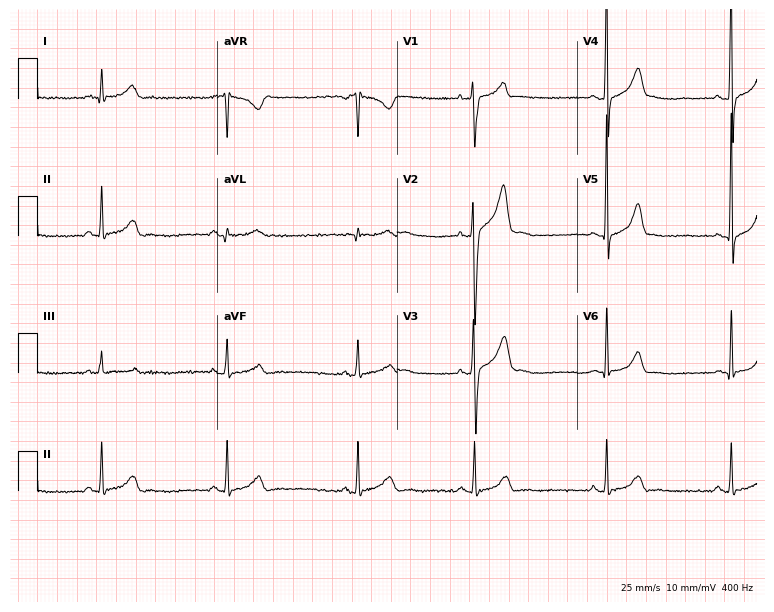
Electrocardiogram (7.3-second recording at 400 Hz), a man, 27 years old. Interpretation includes sinus bradycardia (a sinus rate of 50 beats per minute or less).